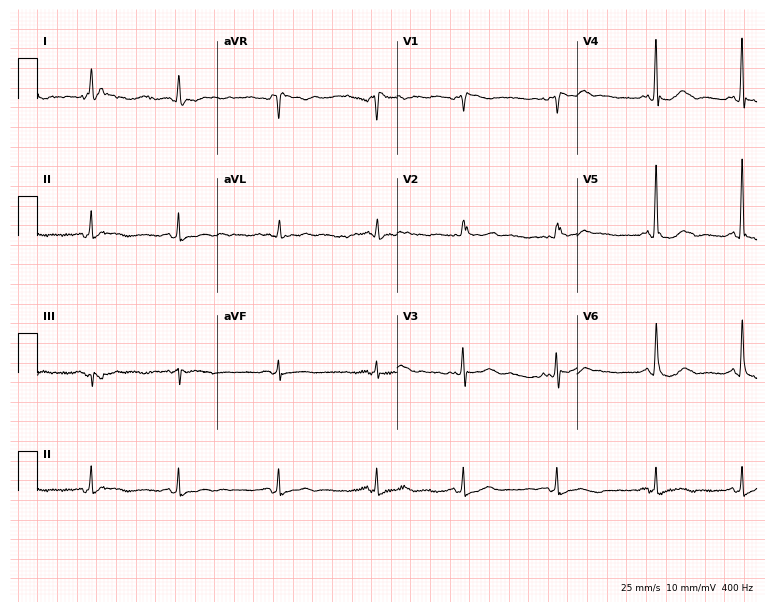
12-lead ECG from a woman, 75 years old. Labelled as a normal ECG.